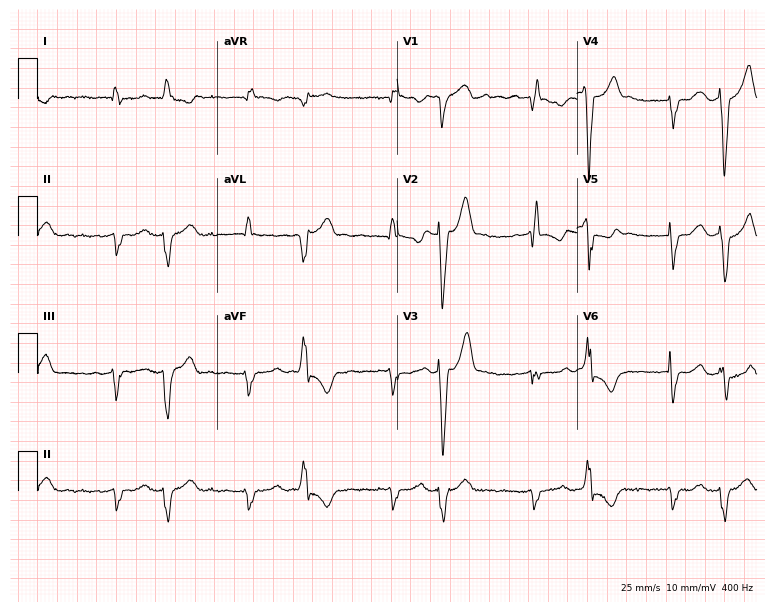
12-lead ECG from a female patient, 83 years old (7.3-second recording at 400 Hz). Shows first-degree AV block, right bundle branch block (RBBB), atrial fibrillation (AF).